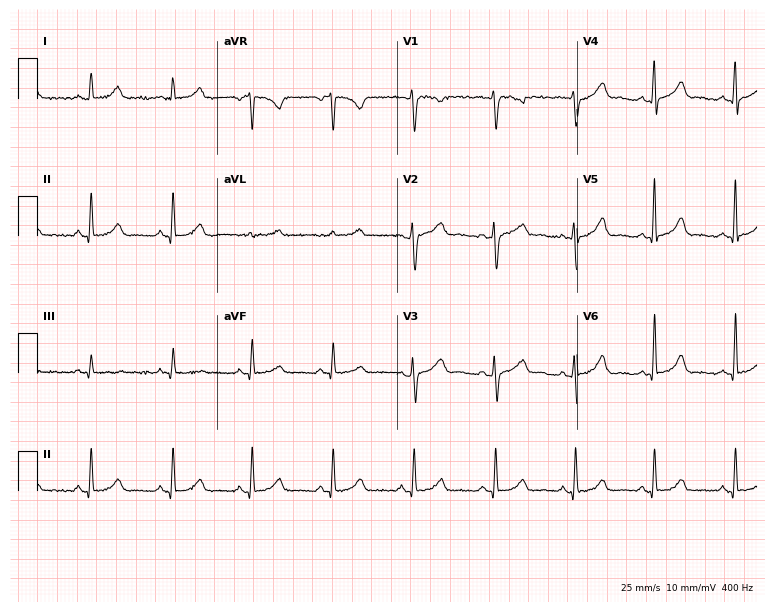
Electrocardiogram (7.3-second recording at 400 Hz), a female patient, 38 years old. Overall reading on record: normal ECG.